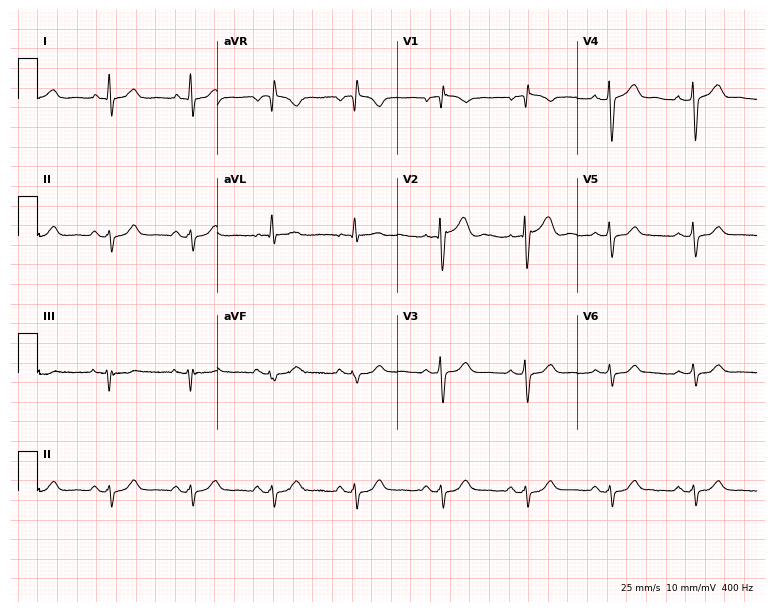
Standard 12-lead ECG recorded from a 79-year-old male patient (7.3-second recording at 400 Hz). None of these six findings is recorded: first-degree AV block, right bundle branch block, left bundle branch block, sinus bradycardia, atrial fibrillation, sinus tachycardia. Other findings, if any, are not listed.